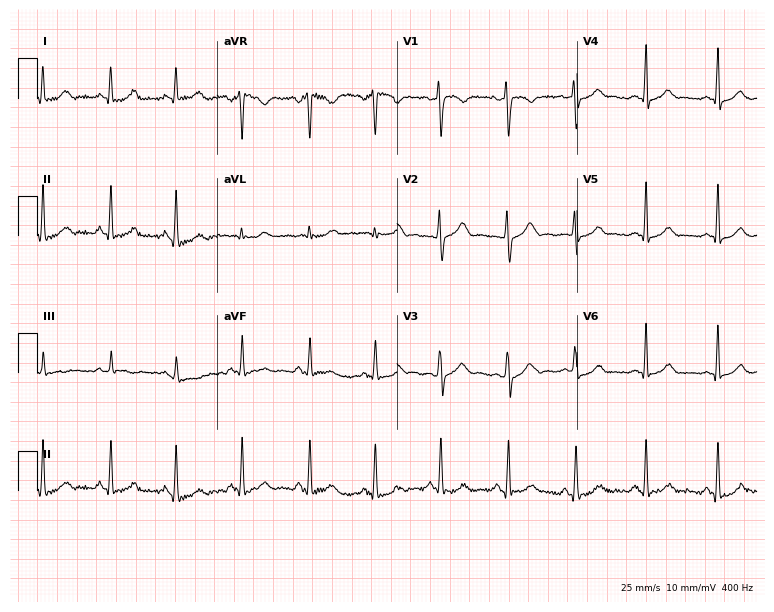
12-lead ECG from a 23-year-old female (7.3-second recording at 400 Hz). Recorded interpretation: within normal limits.